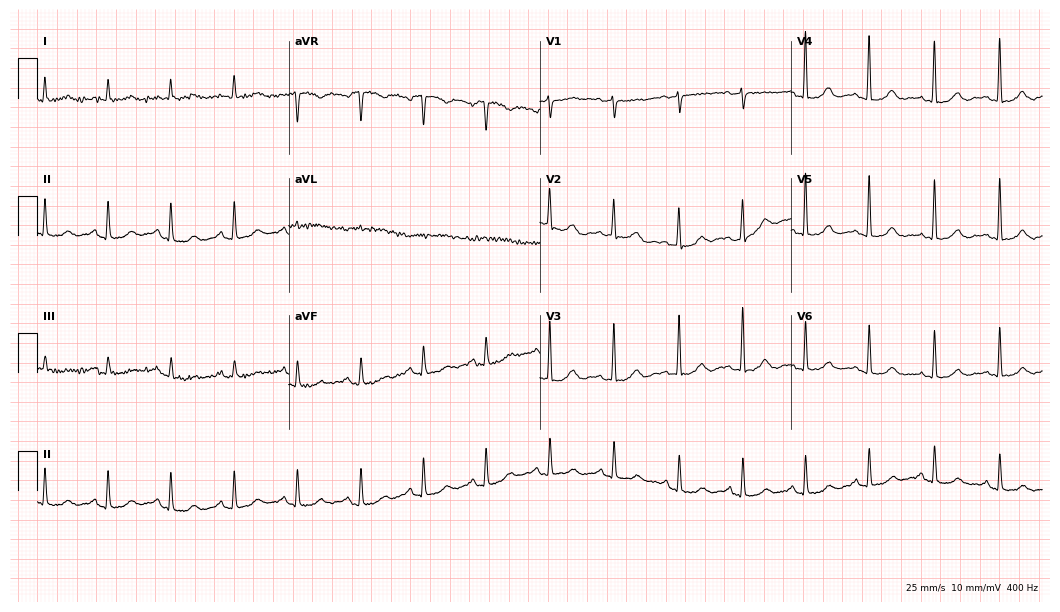
Resting 12-lead electrocardiogram. Patient: a 65-year-old female. Read as a normal ECG.